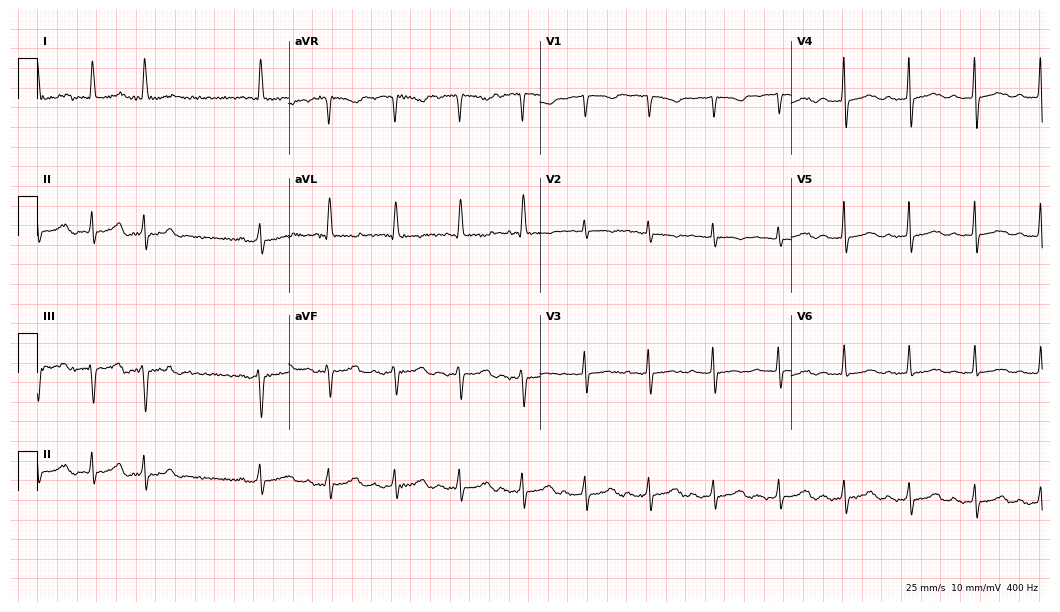
Electrocardiogram, a female, 72 years old. Of the six screened findings (first-degree AV block, right bundle branch block, left bundle branch block, sinus bradycardia, atrial fibrillation, sinus tachycardia), none is recorded. Findings outside these six are not listed.